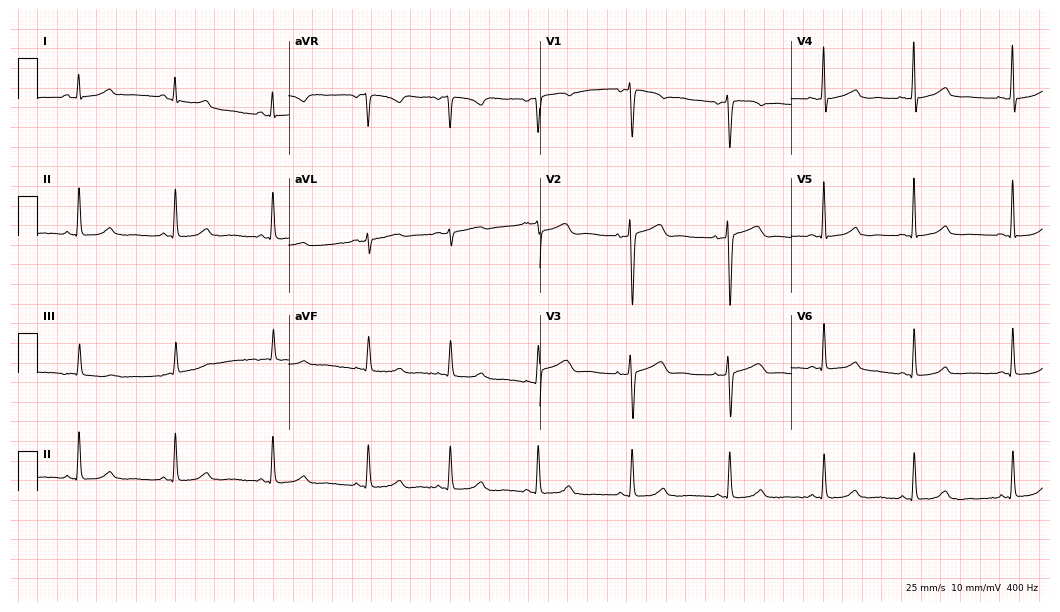
Electrocardiogram, a female patient, 52 years old. Overall reading on record: normal ECG.